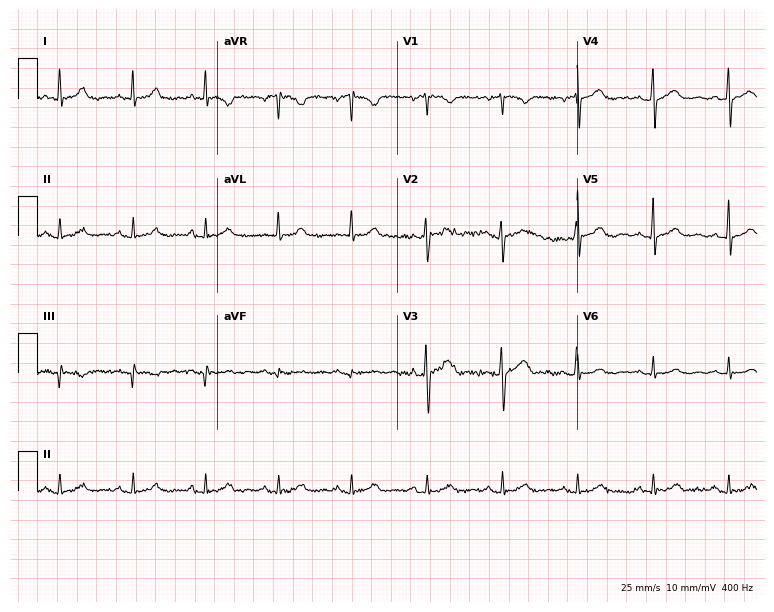
Resting 12-lead electrocardiogram (7.3-second recording at 400 Hz). Patient: a male, 73 years old. None of these six findings is recorded: first-degree AV block, right bundle branch block (RBBB), left bundle branch block (LBBB), sinus bradycardia, atrial fibrillation (AF), sinus tachycardia.